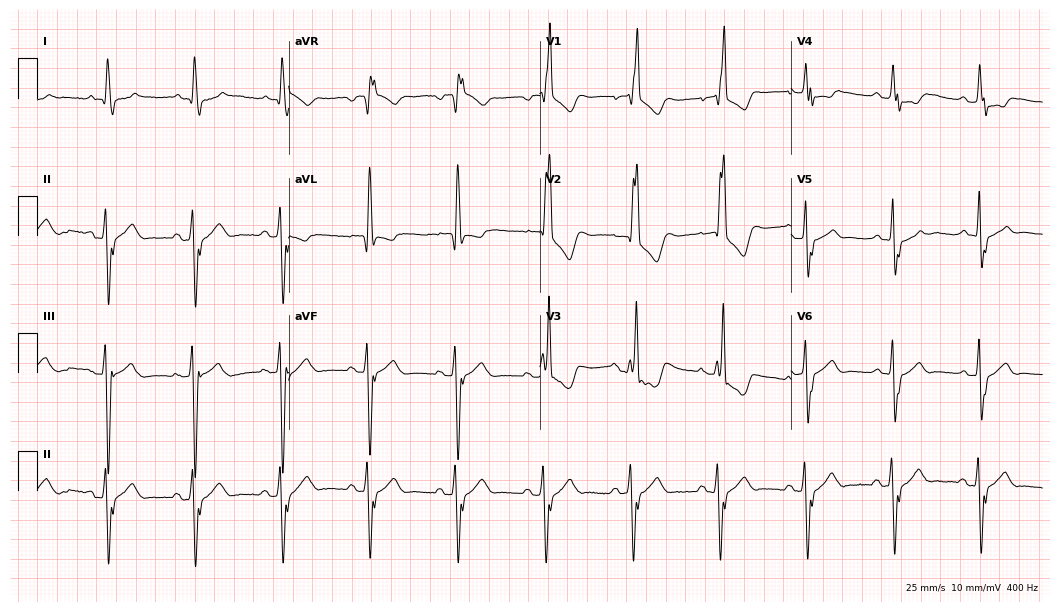
Resting 12-lead electrocardiogram. Patient: a female, 81 years old. The tracing shows right bundle branch block.